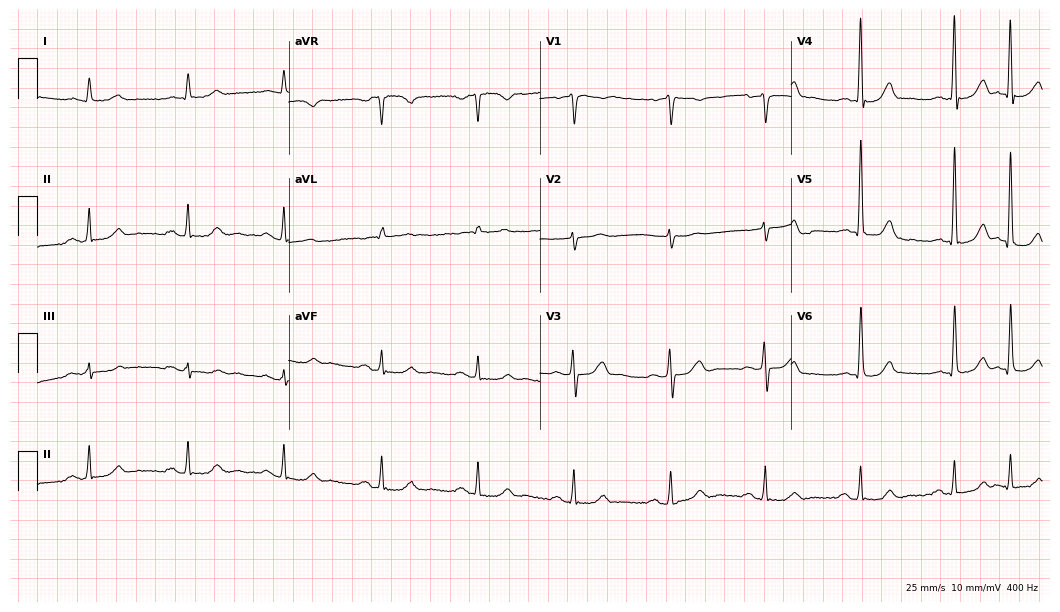
12-lead ECG (10.2-second recording at 400 Hz) from a 69-year-old man. Screened for six findings — first-degree AV block, right bundle branch block, left bundle branch block, sinus bradycardia, atrial fibrillation, sinus tachycardia — none is recorded.